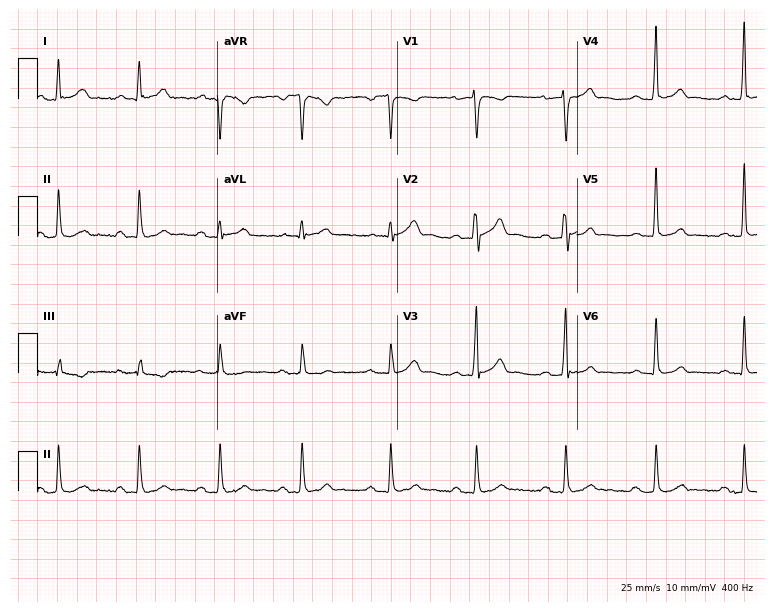
12-lead ECG from a 47-year-old male patient (7.3-second recording at 400 Hz). Shows first-degree AV block.